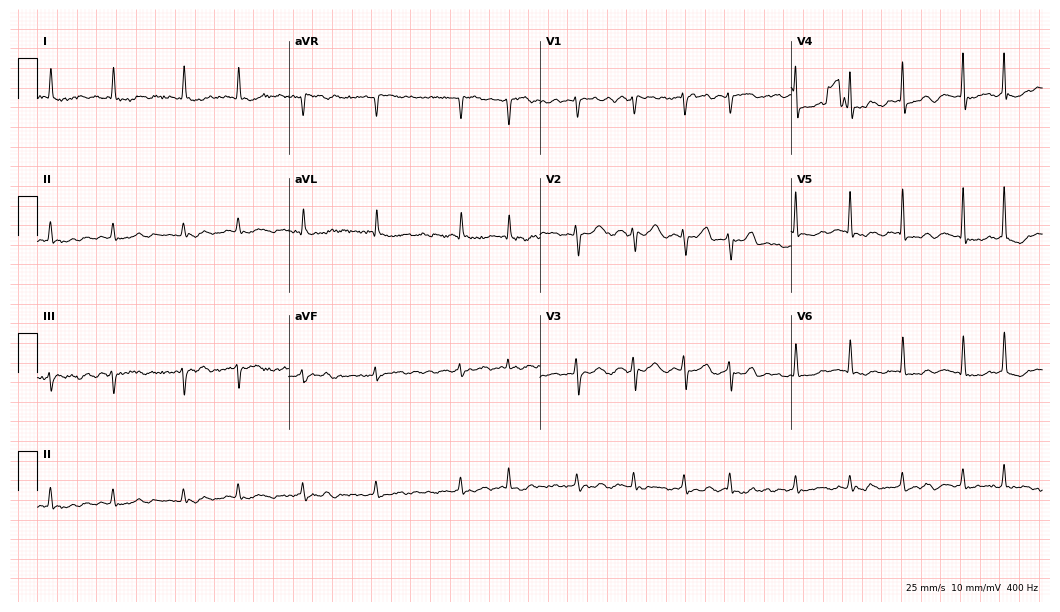
12-lead ECG (10.2-second recording at 400 Hz) from a woman, 67 years old. Findings include atrial fibrillation.